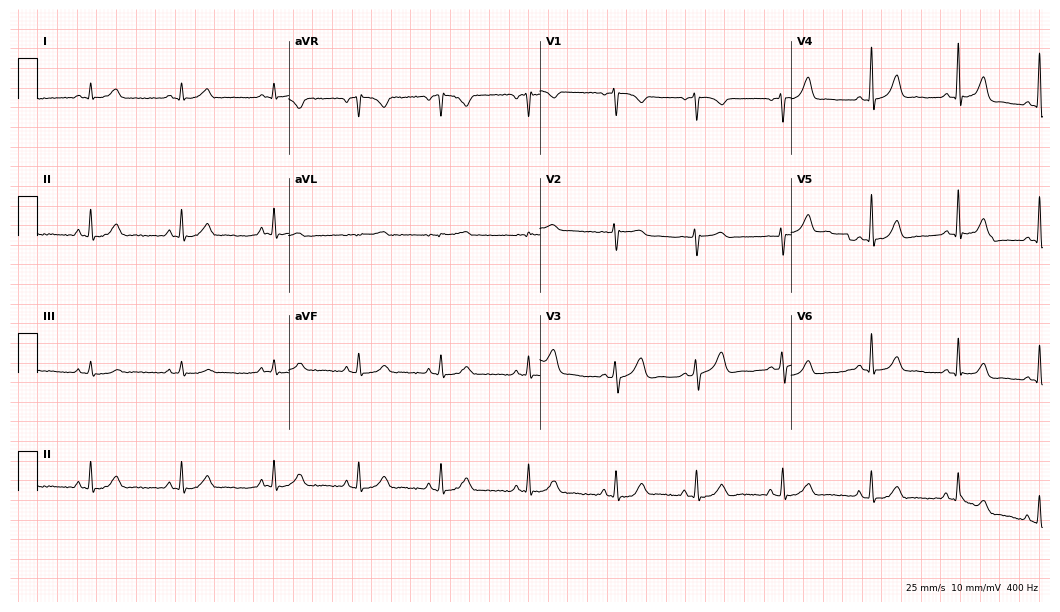
Standard 12-lead ECG recorded from a woman, 36 years old (10.2-second recording at 400 Hz). None of these six findings is recorded: first-degree AV block, right bundle branch block, left bundle branch block, sinus bradycardia, atrial fibrillation, sinus tachycardia. Other findings, if any, are not listed.